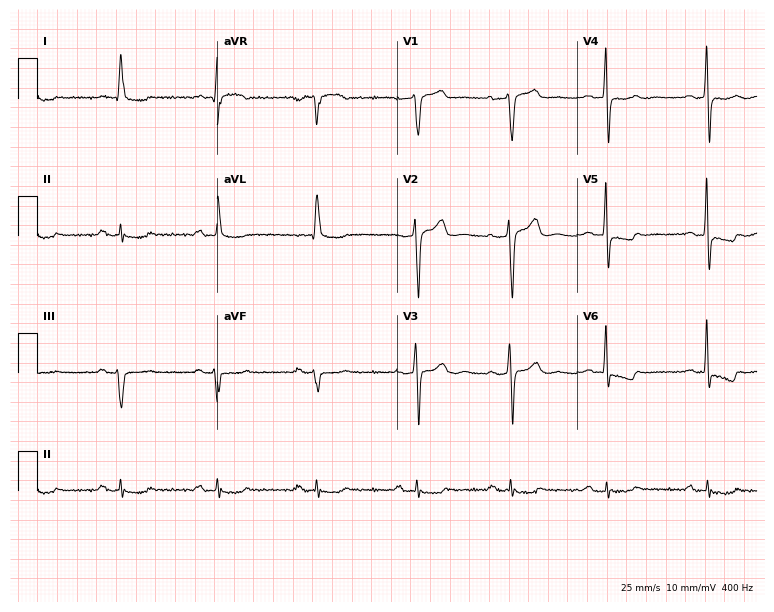
12-lead ECG from an 84-year-old man (7.3-second recording at 400 Hz). No first-degree AV block, right bundle branch block (RBBB), left bundle branch block (LBBB), sinus bradycardia, atrial fibrillation (AF) or sinus tachycardia recorded for this tracing. Only these six findings were labelled.